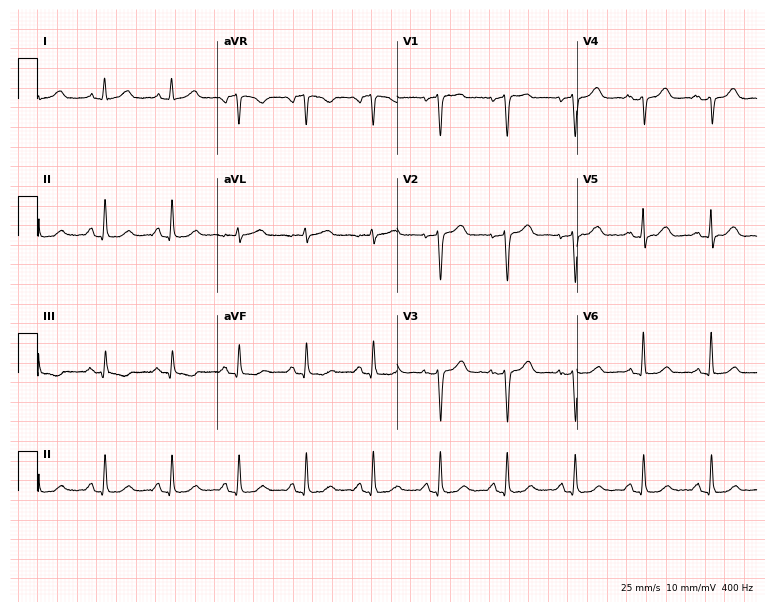
12-lead ECG from a female patient, 52 years old. Labelled as a normal ECG.